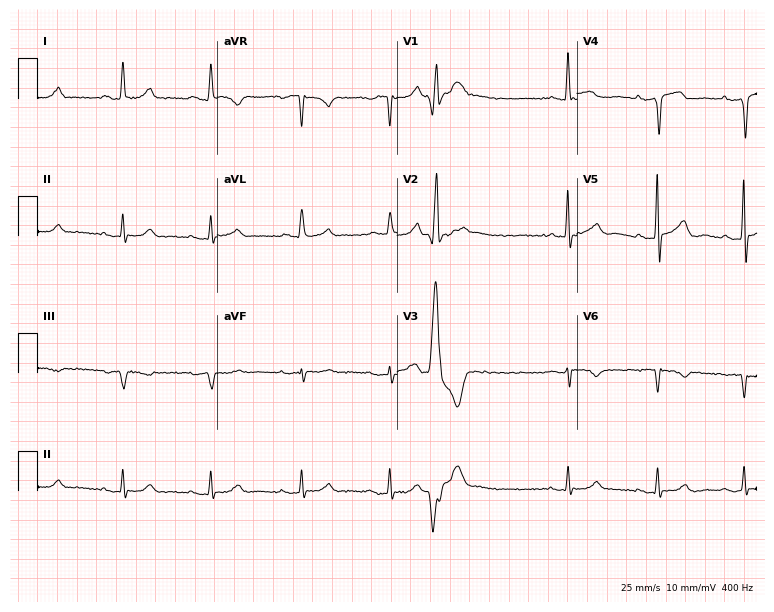
Resting 12-lead electrocardiogram (7.3-second recording at 400 Hz). Patient: an 18-year-old female. None of these six findings is recorded: first-degree AV block, right bundle branch block, left bundle branch block, sinus bradycardia, atrial fibrillation, sinus tachycardia.